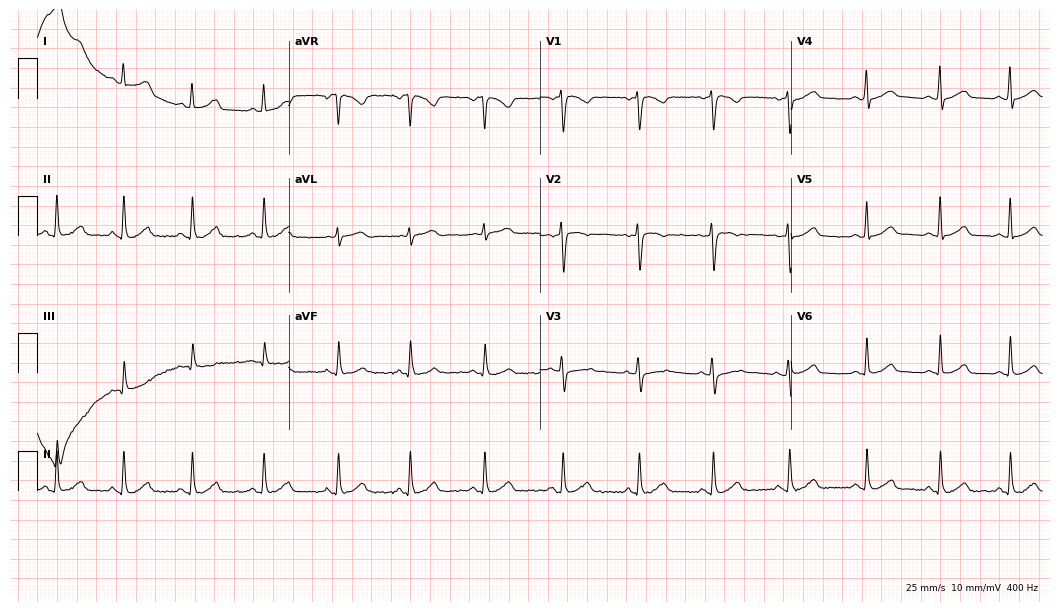
ECG — a 29-year-old female patient. Screened for six findings — first-degree AV block, right bundle branch block (RBBB), left bundle branch block (LBBB), sinus bradycardia, atrial fibrillation (AF), sinus tachycardia — none is recorded. Other findings, if any, are not listed.